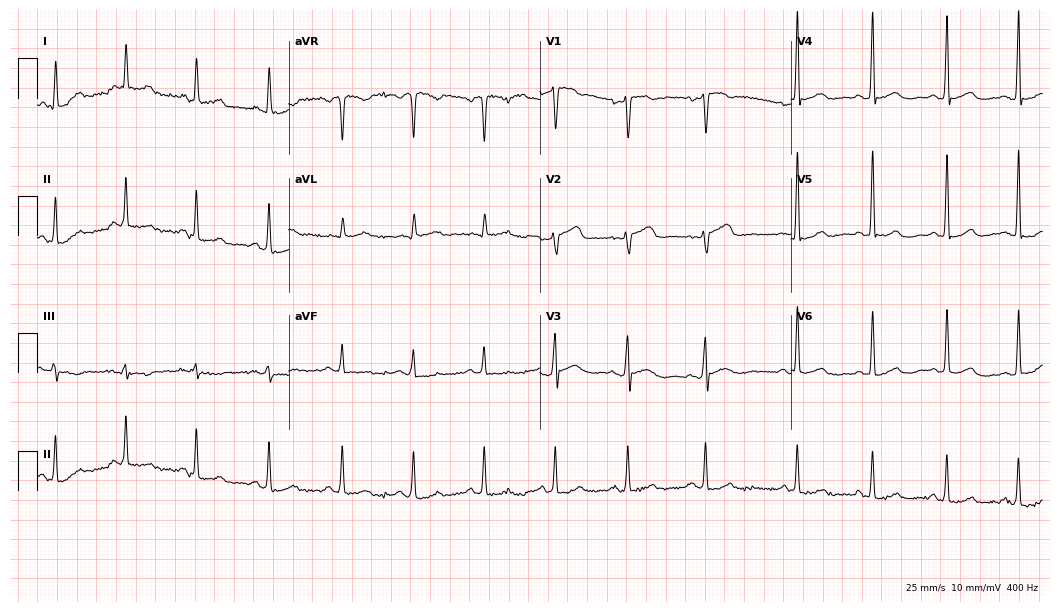
12-lead ECG from a 55-year-old woman. Recorded interpretation: within normal limits.